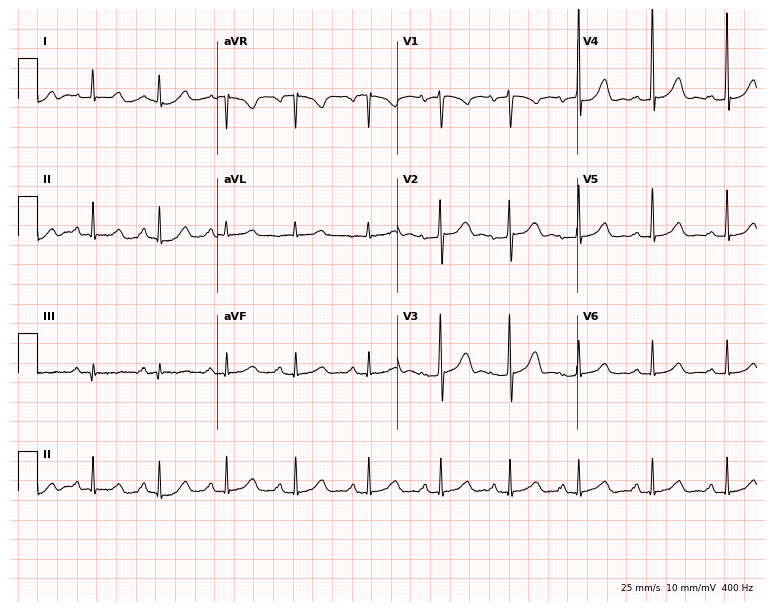
Standard 12-lead ECG recorded from a female patient, 51 years old. None of these six findings is recorded: first-degree AV block, right bundle branch block (RBBB), left bundle branch block (LBBB), sinus bradycardia, atrial fibrillation (AF), sinus tachycardia.